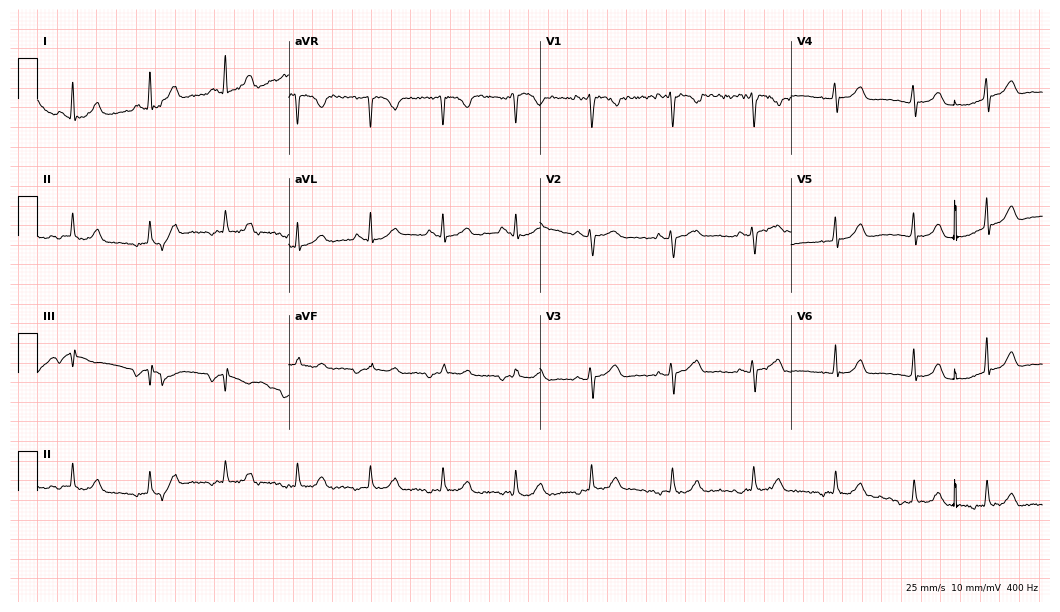
Standard 12-lead ECG recorded from a 39-year-old female patient (10.2-second recording at 400 Hz). None of these six findings is recorded: first-degree AV block, right bundle branch block, left bundle branch block, sinus bradycardia, atrial fibrillation, sinus tachycardia.